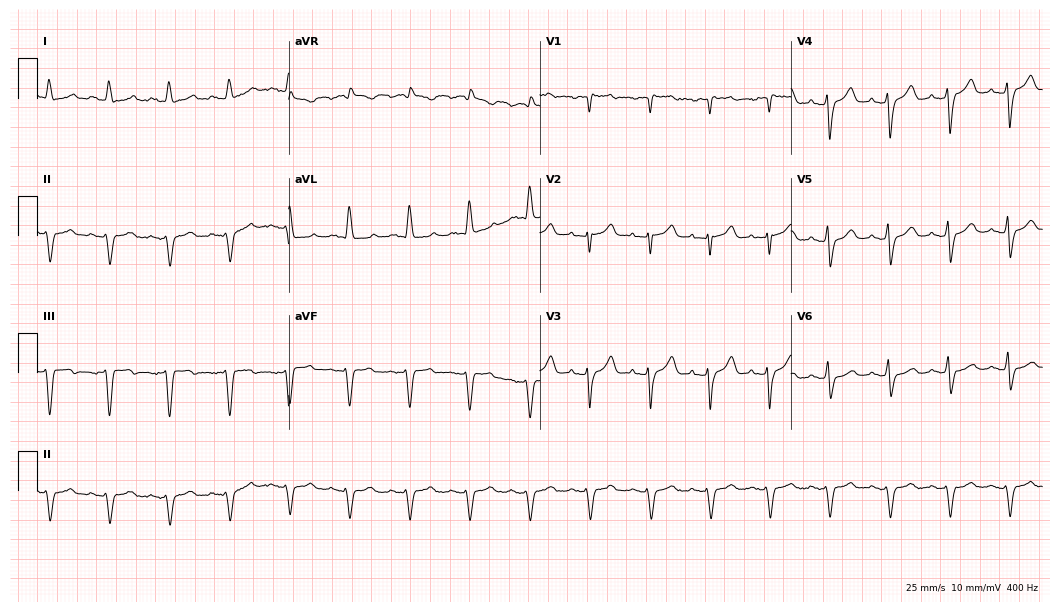
Electrocardiogram (10.2-second recording at 400 Hz), an 80-year-old male. Of the six screened findings (first-degree AV block, right bundle branch block, left bundle branch block, sinus bradycardia, atrial fibrillation, sinus tachycardia), none is recorded.